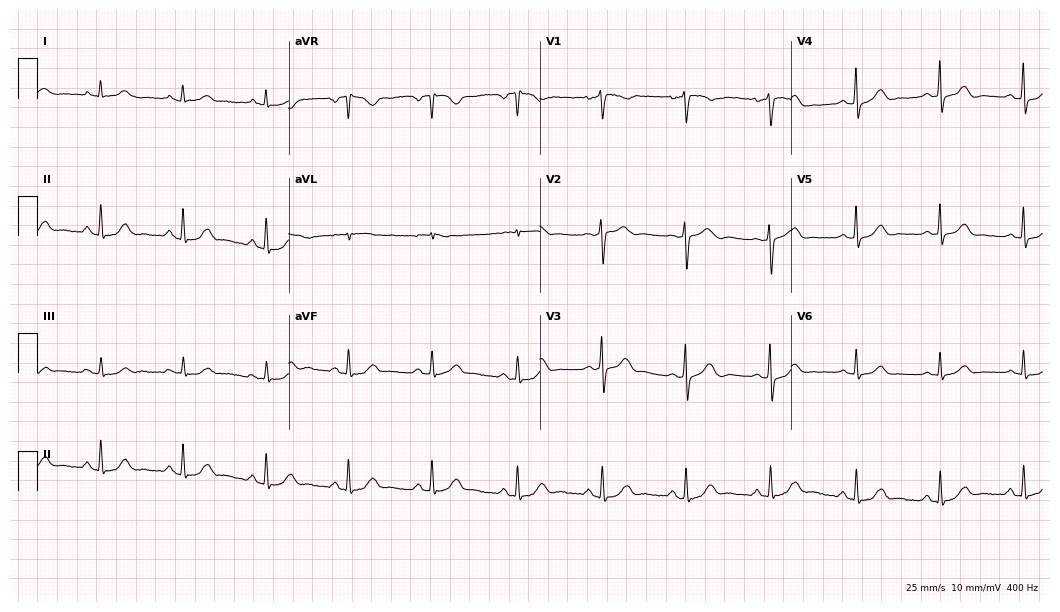
Standard 12-lead ECG recorded from a 41-year-old woman. None of these six findings is recorded: first-degree AV block, right bundle branch block, left bundle branch block, sinus bradycardia, atrial fibrillation, sinus tachycardia.